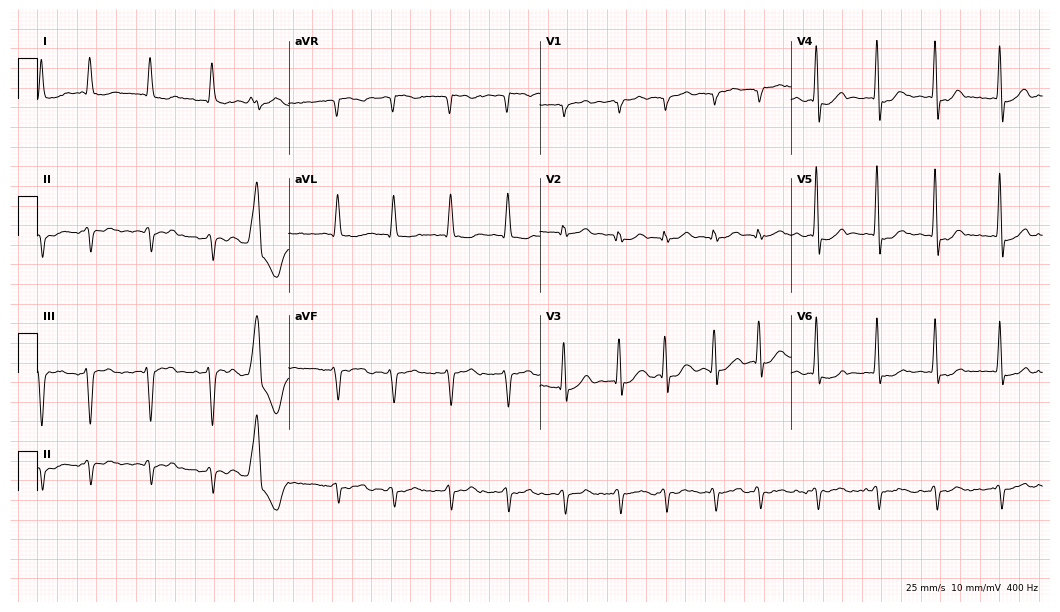
Resting 12-lead electrocardiogram (10.2-second recording at 400 Hz). Patient: a male, 83 years old. The tracing shows atrial fibrillation.